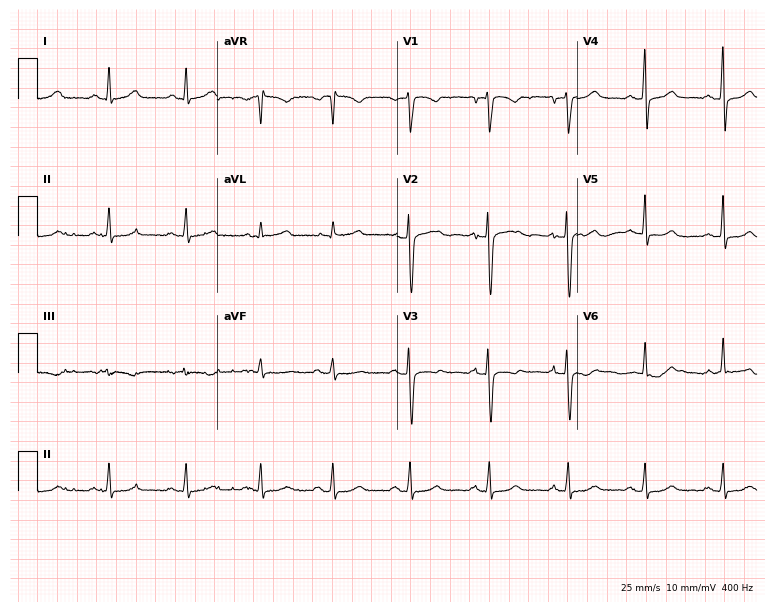
Electrocardiogram, a female, 43 years old. Of the six screened findings (first-degree AV block, right bundle branch block, left bundle branch block, sinus bradycardia, atrial fibrillation, sinus tachycardia), none is recorded.